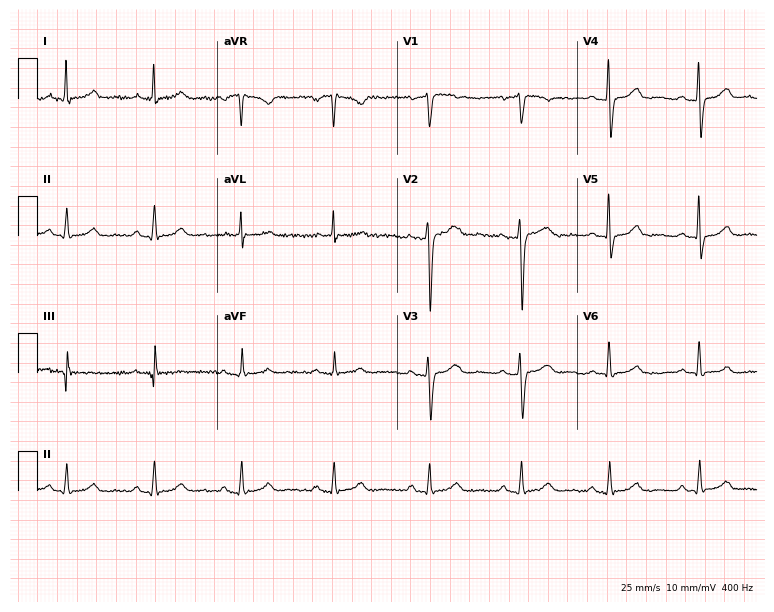
Standard 12-lead ECG recorded from a female patient, 49 years old (7.3-second recording at 400 Hz). Read as a normal ECG.